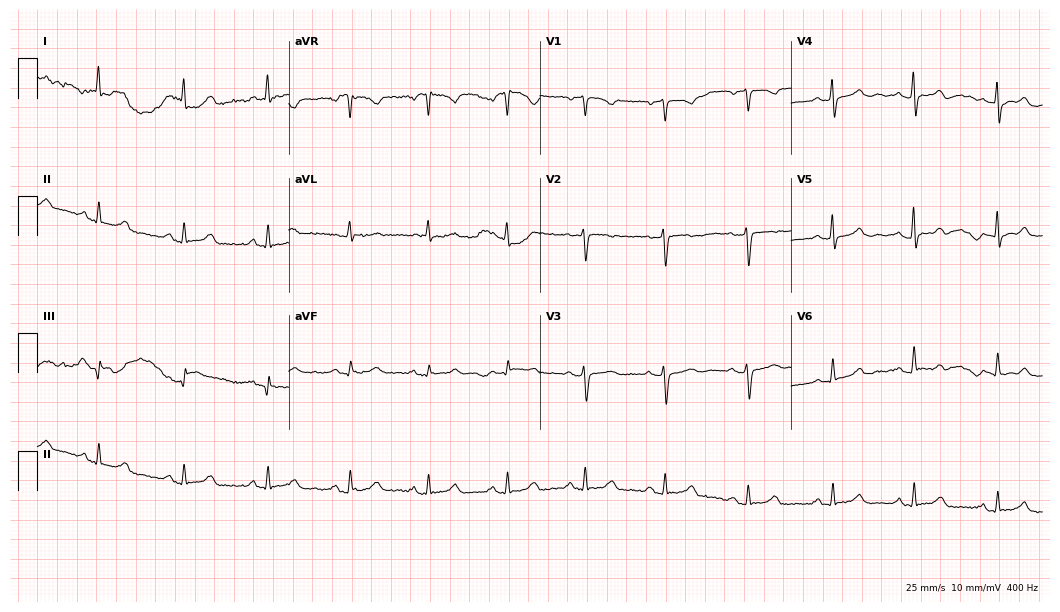
12-lead ECG from a 43-year-old female patient (10.2-second recording at 400 Hz). Recorded interpretation: within normal limits.